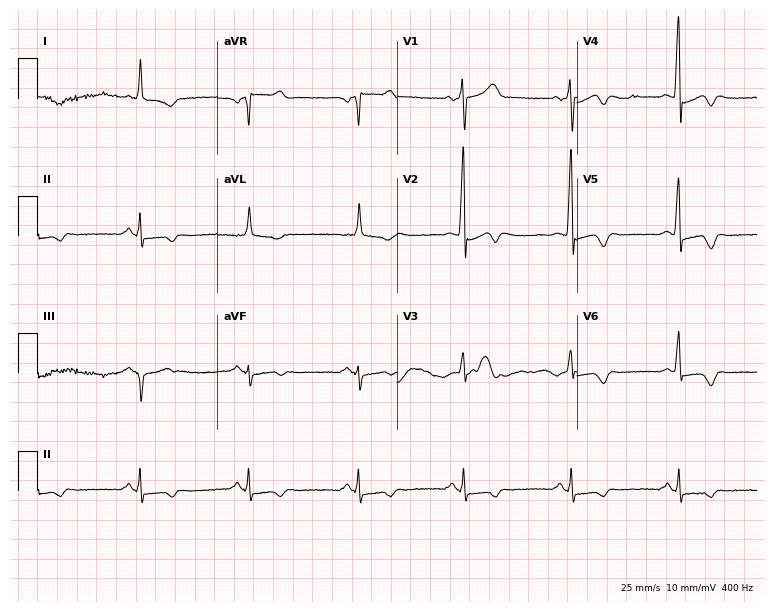
ECG (7.3-second recording at 400 Hz) — a 60-year-old man. Screened for six findings — first-degree AV block, right bundle branch block (RBBB), left bundle branch block (LBBB), sinus bradycardia, atrial fibrillation (AF), sinus tachycardia — none is recorded.